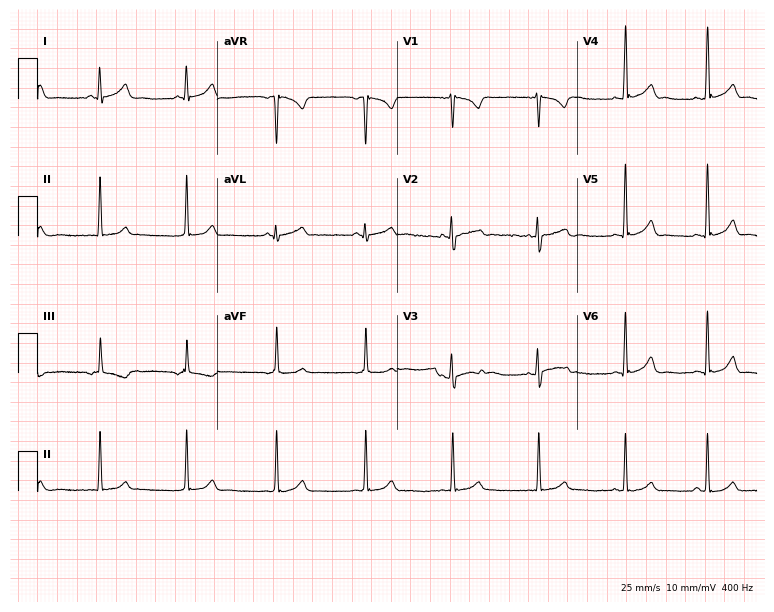
Electrocardiogram, a 22-year-old female. Of the six screened findings (first-degree AV block, right bundle branch block, left bundle branch block, sinus bradycardia, atrial fibrillation, sinus tachycardia), none is recorded. Other findings, if any, are not listed.